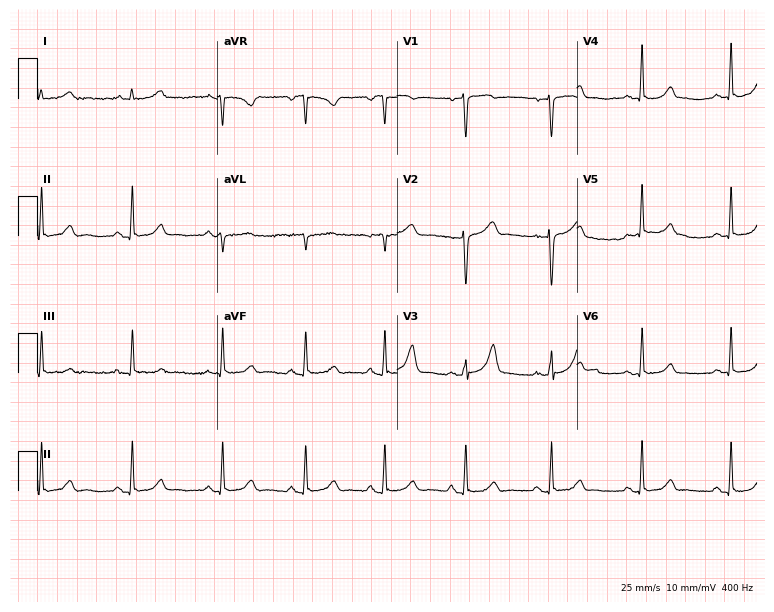
12-lead ECG from a 22-year-old woman. Labelled as a normal ECG.